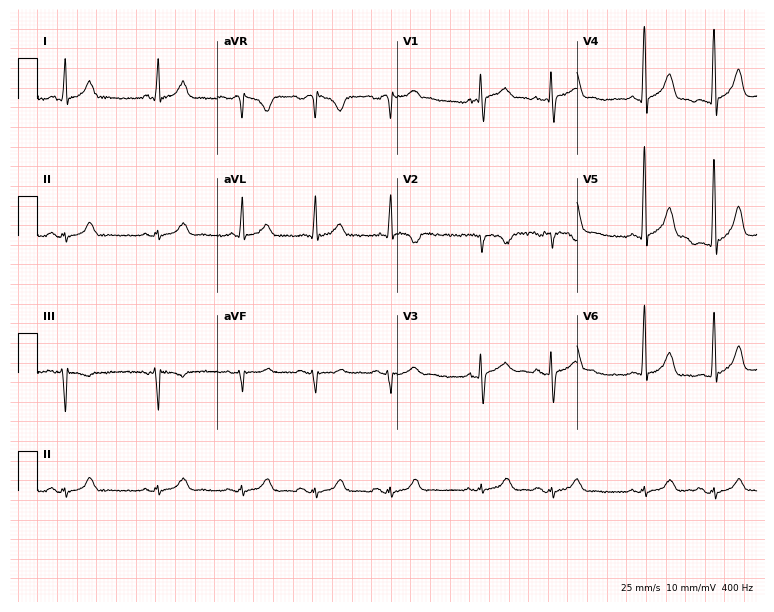
Electrocardiogram (7.3-second recording at 400 Hz), a 78-year-old male. Overall reading on record: normal ECG.